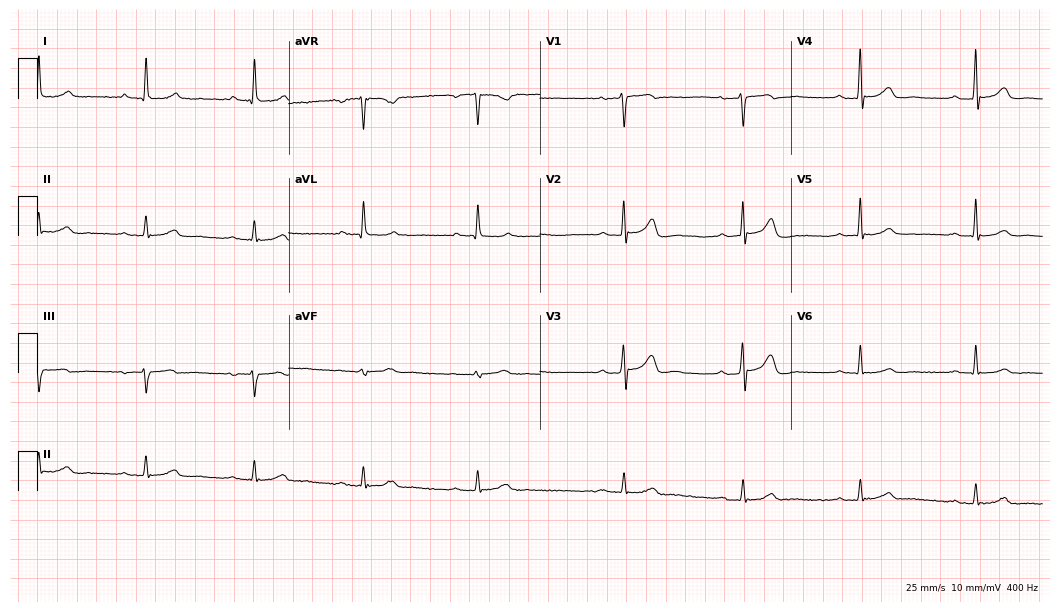
Standard 12-lead ECG recorded from a man, 82 years old (10.2-second recording at 400 Hz). The tracing shows first-degree AV block.